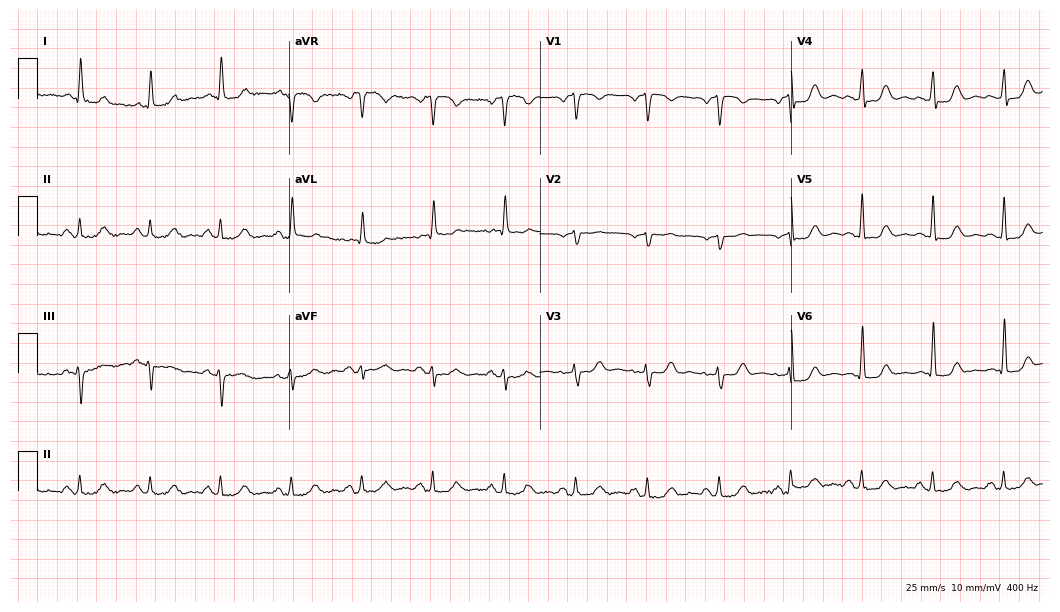
ECG (10.2-second recording at 400 Hz) — a female, 56 years old. Screened for six findings — first-degree AV block, right bundle branch block, left bundle branch block, sinus bradycardia, atrial fibrillation, sinus tachycardia — none is recorded. Only these six findings were labelled.